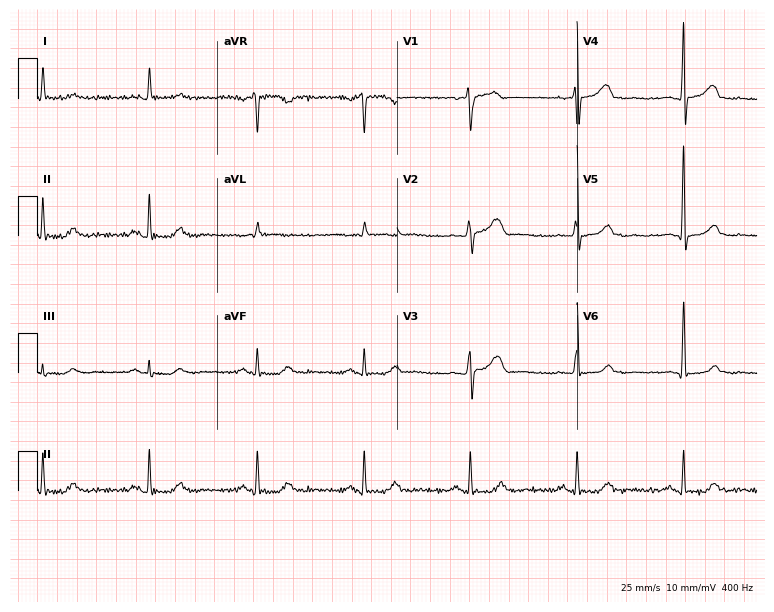
Standard 12-lead ECG recorded from a 77-year-old man (7.3-second recording at 400 Hz). None of these six findings is recorded: first-degree AV block, right bundle branch block, left bundle branch block, sinus bradycardia, atrial fibrillation, sinus tachycardia. Other findings, if any, are not listed.